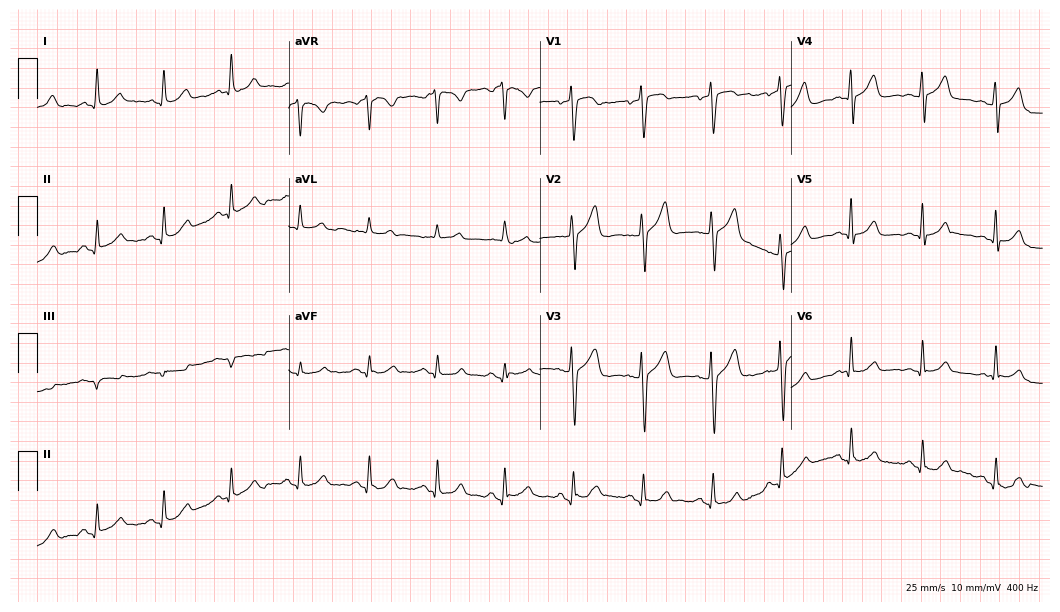
ECG — a 56-year-old female patient. Screened for six findings — first-degree AV block, right bundle branch block, left bundle branch block, sinus bradycardia, atrial fibrillation, sinus tachycardia — none is recorded.